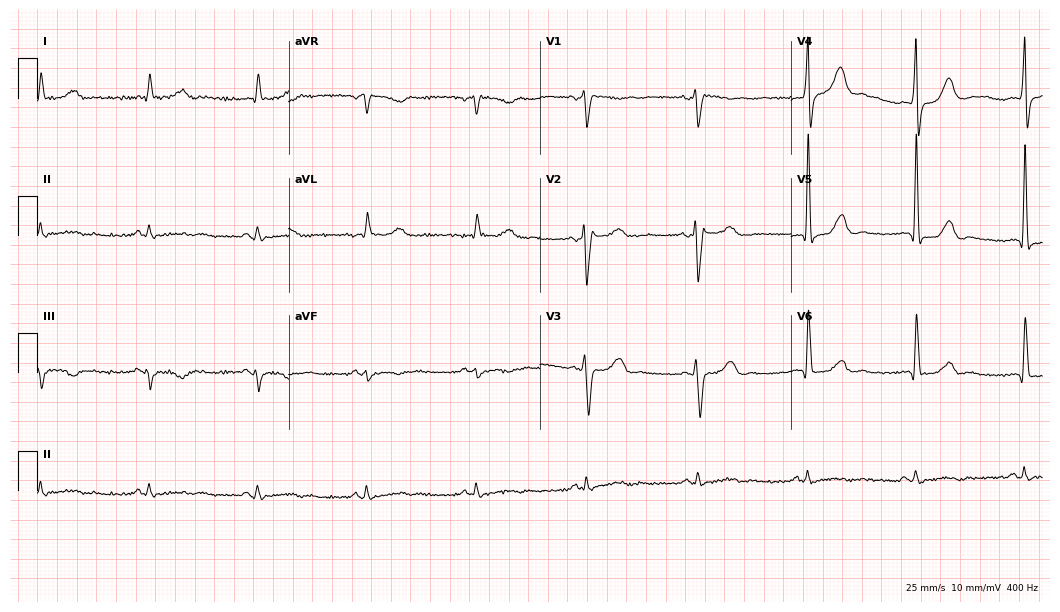
12-lead ECG (10.2-second recording at 400 Hz) from a 54-year-old male patient. Screened for six findings — first-degree AV block, right bundle branch block, left bundle branch block, sinus bradycardia, atrial fibrillation, sinus tachycardia — none is recorded.